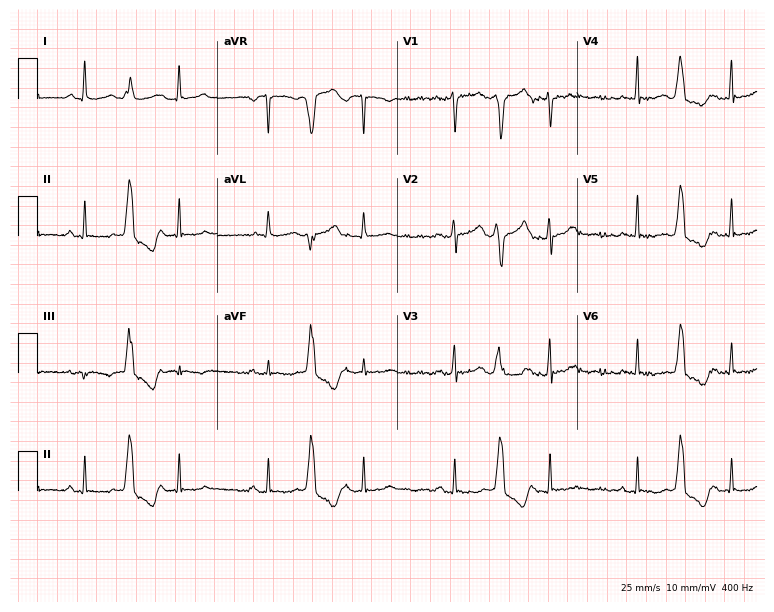
Electrocardiogram, a 60-year-old male. Of the six screened findings (first-degree AV block, right bundle branch block (RBBB), left bundle branch block (LBBB), sinus bradycardia, atrial fibrillation (AF), sinus tachycardia), none is recorded.